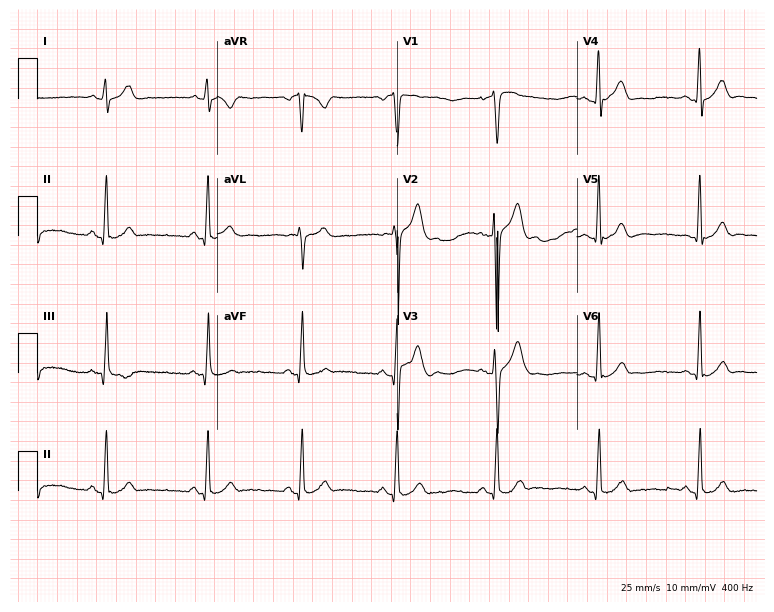
Electrocardiogram, a man, 25 years old. Overall reading on record: normal ECG.